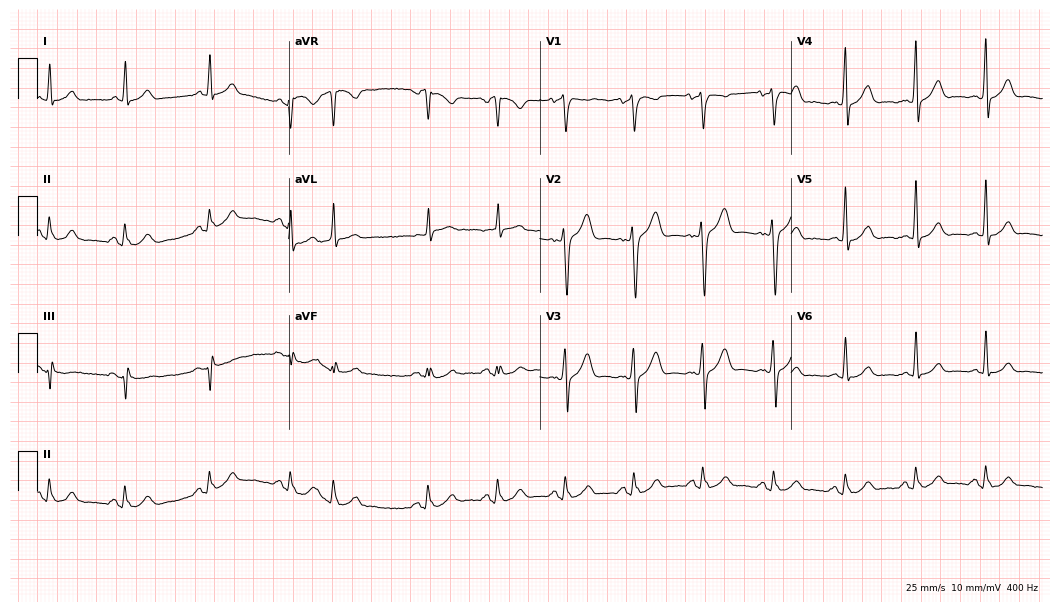
Electrocardiogram (10.2-second recording at 400 Hz), a male patient, 54 years old. Of the six screened findings (first-degree AV block, right bundle branch block, left bundle branch block, sinus bradycardia, atrial fibrillation, sinus tachycardia), none is recorded. Findings outside these six are not listed.